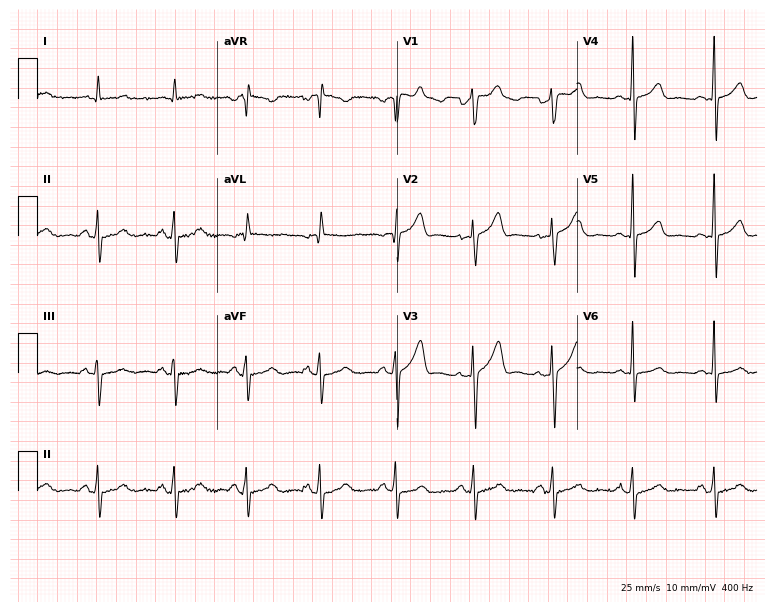
Resting 12-lead electrocardiogram. Patient: a 69-year-old man. None of these six findings is recorded: first-degree AV block, right bundle branch block (RBBB), left bundle branch block (LBBB), sinus bradycardia, atrial fibrillation (AF), sinus tachycardia. Findings outside these six are not listed.